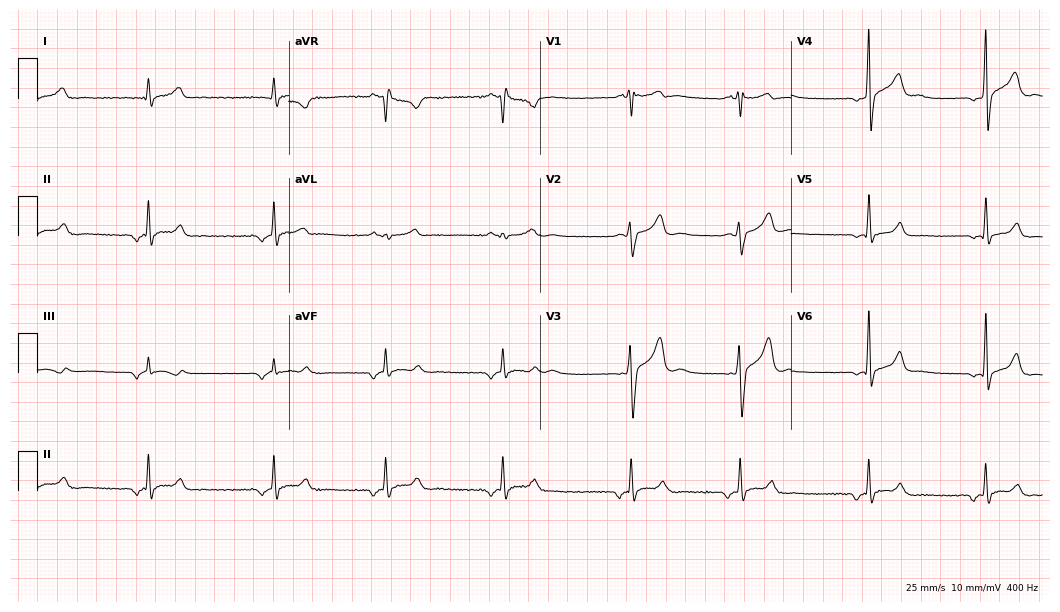
Standard 12-lead ECG recorded from a male, 26 years old. None of these six findings is recorded: first-degree AV block, right bundle branch block, left bundle branch block, sinus bradycardia, atrial fibrillation, sinus tachycardia.